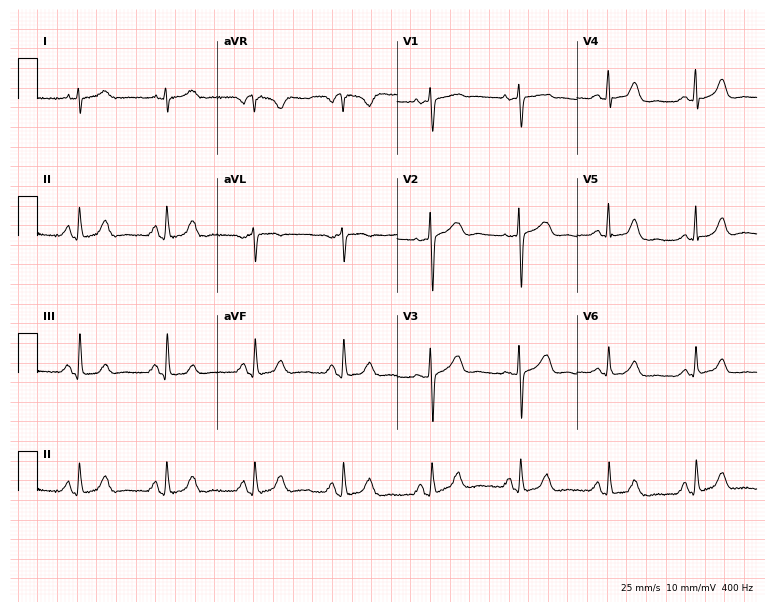
12-lead ECG from a 44-year-old female patient. Screened for six findings — first-degree AV block, right bundle branch block, left bundle branch block, sinus bradycardia, atrial fibrillation, sinus tachycardia — none is recorded.